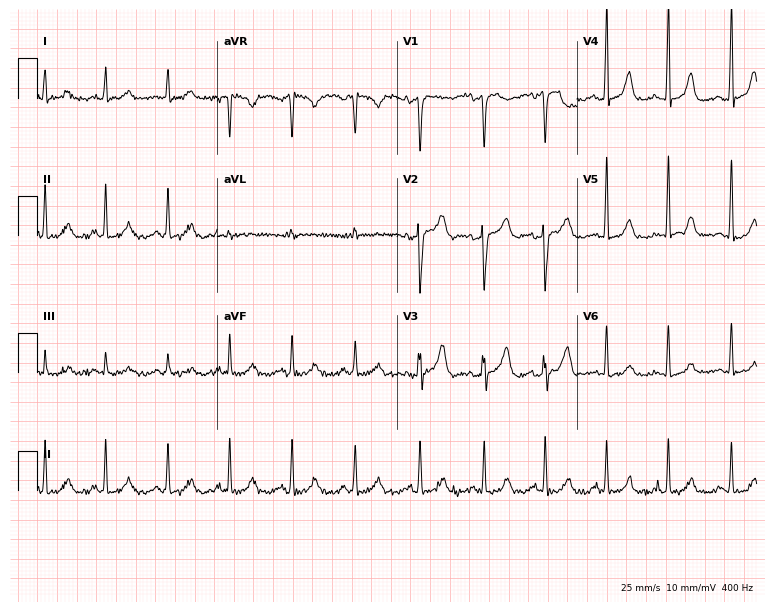
Standard 12-lead ECG recorded from a male patient, 55 years old. None of these six findings is recorded: first-degree AV block, right bundle branch block (RBBB), left bundle branch block (LBBB), sinus bradycardia, atrial fibrillation (AF), sinus tachycardia.